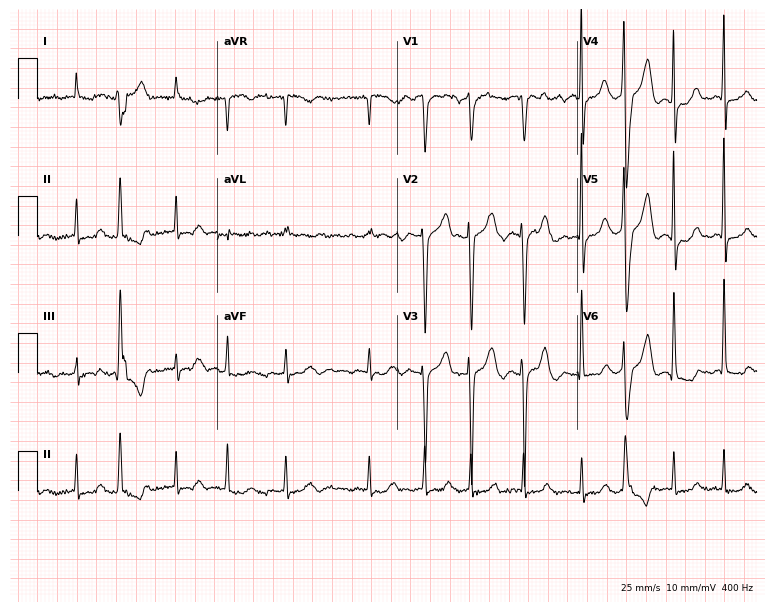
Resting 12-lead electrocardiogram. Patient: a 63-year-old male. The tracing shows atrial fibrillation.